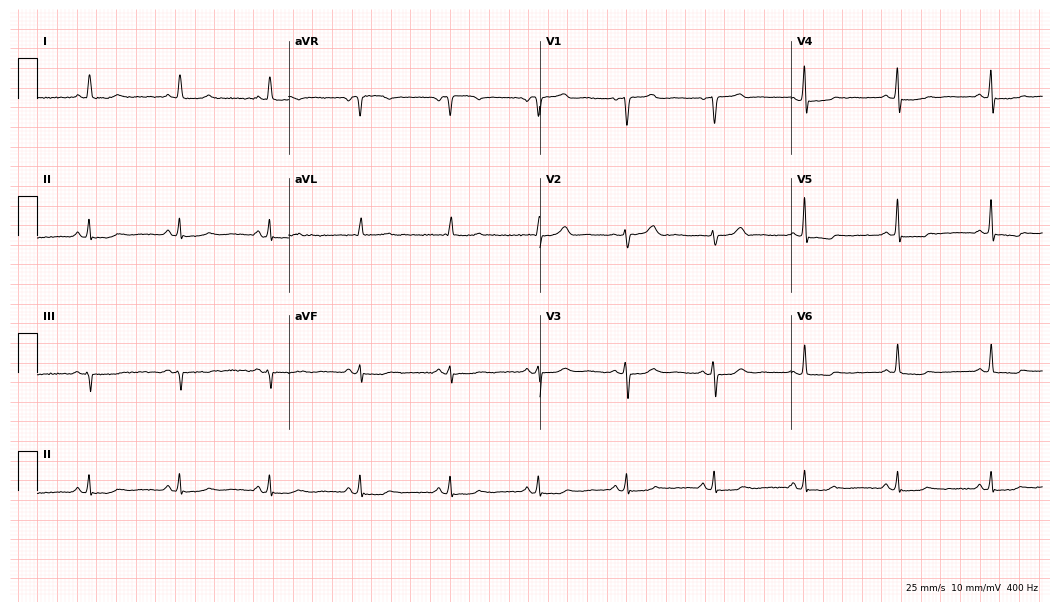
ECG — a 49-year-old woman. Screened for six findings — first-degree AV block, right bundle branch block, left bundle branch block, sinus bradycardia, atrial fibrillation, sinus tachycardia — none is recorded.